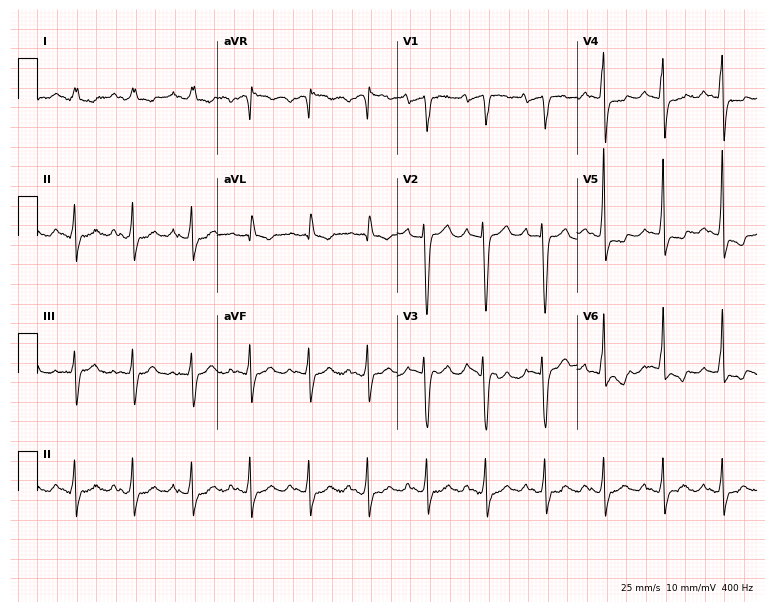
ECG — a female patient, 58 years old. Screened for six findings — first-degree AV block, right bundle branch block, left bundle branch block, sinus bradycardia, atrial fibrillation, sinus tachycardia — none is recorded. Only these six findings were labelled.